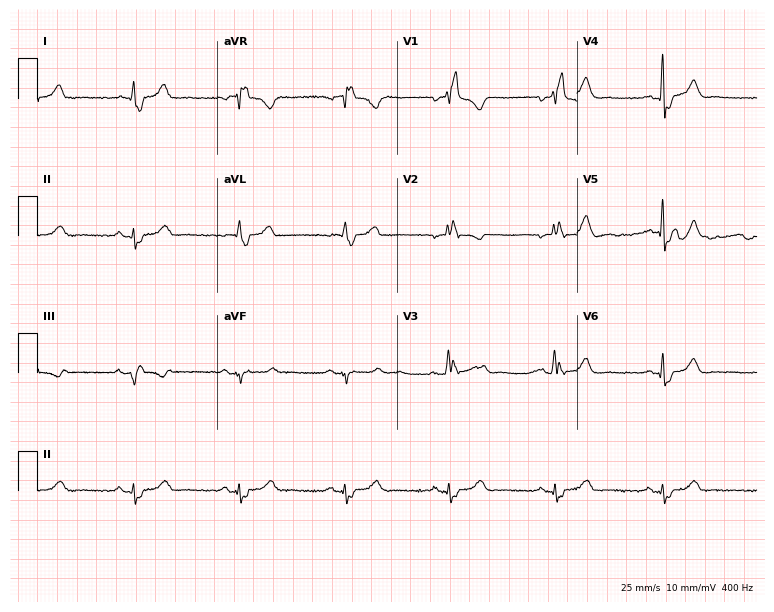
Resting 12-lead electrocardiogram. Patient: a 59-year-old woman. The tracing shows right bundle branch block.